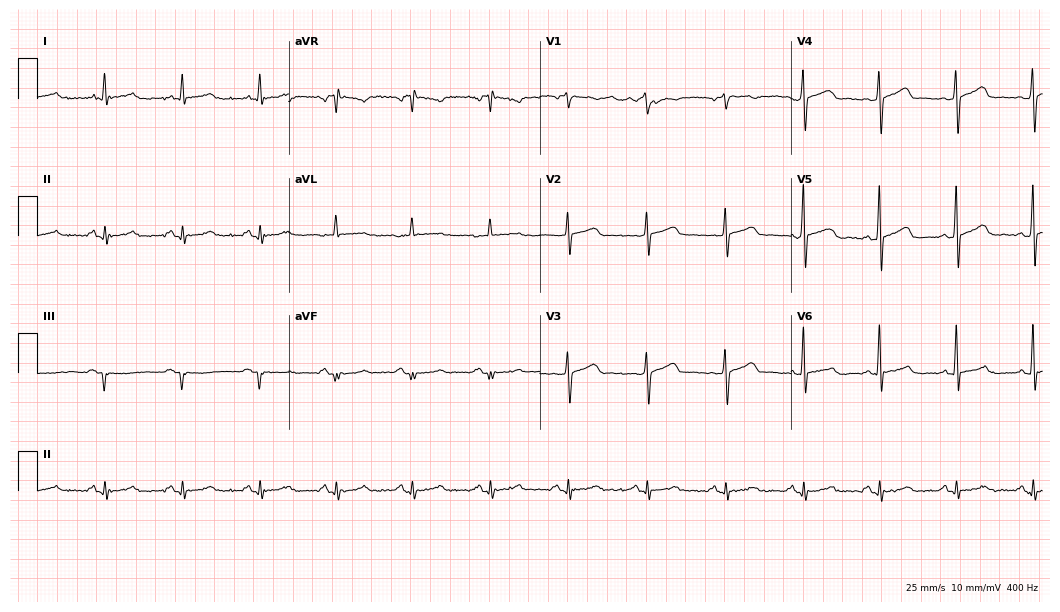
12-lead ECG (10.2-second recording at 400 Hz) from a man, 71 years old. Labelled as a normal ECG.